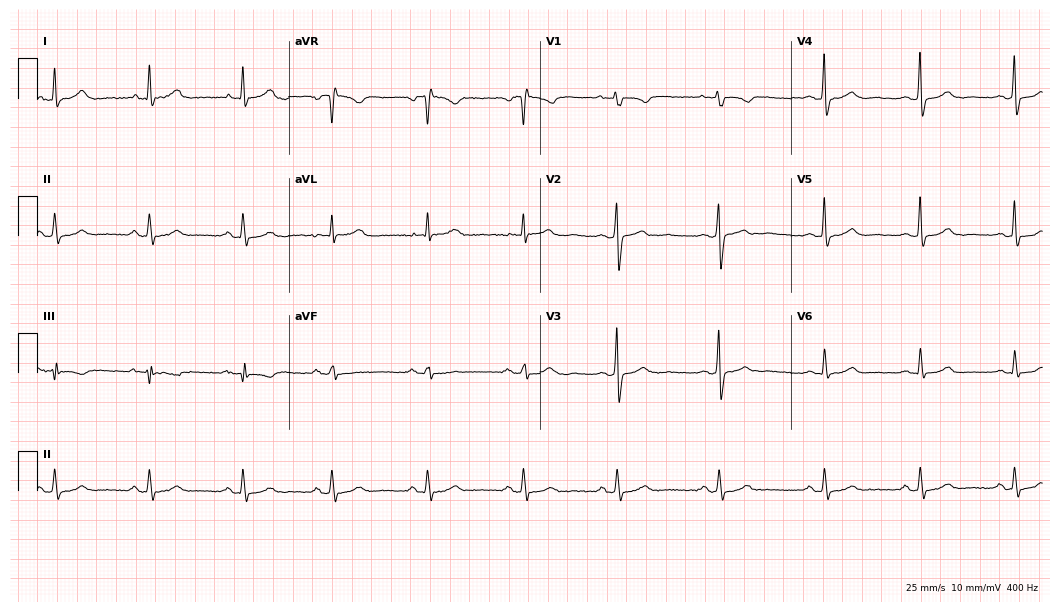
Standard 12-lead ECG recorded from a 33-year-old female. Read as a normal ECG.